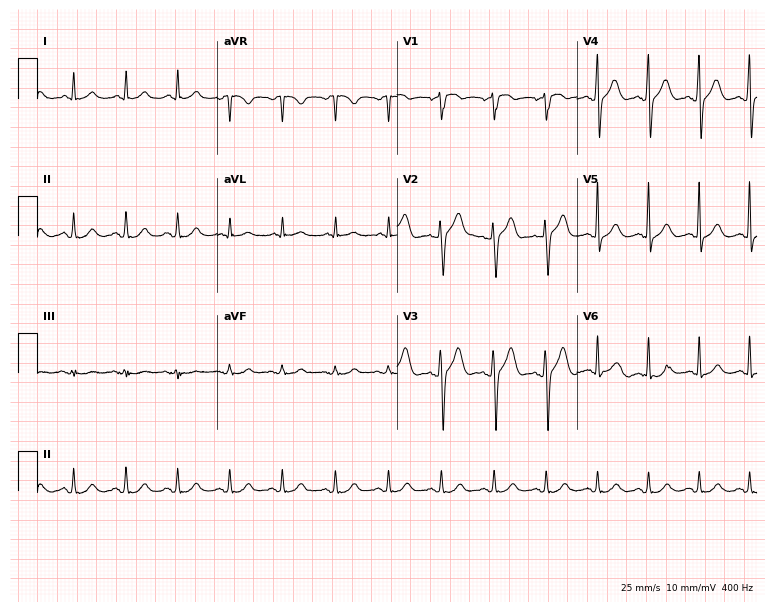
Electrocardiogram (7.3-second recording at 400 Hz), a male patient, 57 years old. Interpretation includes sinus tachycardia (a sinus rate of 100 beats per minute or more).